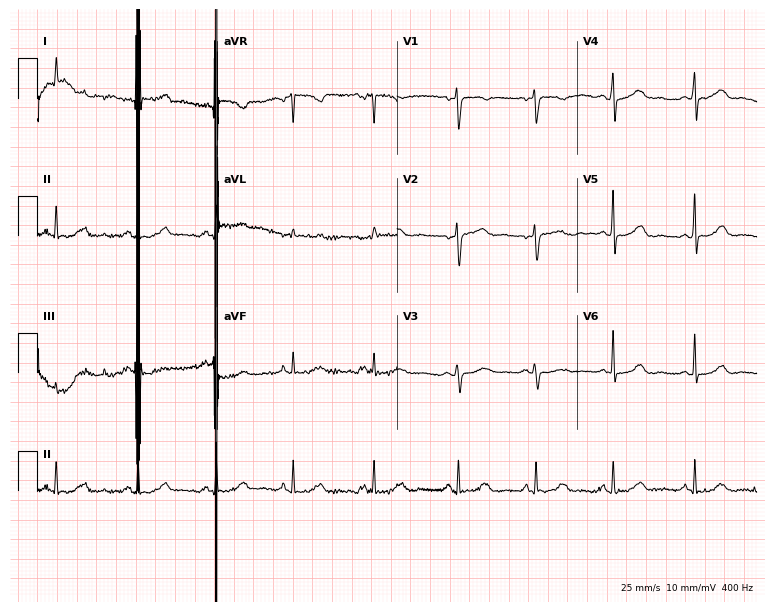
12-lead ECG from a 45-year-old woman. No first-degree AV block, right bundle branch block (RBBB), left bundle branch block (LBBB), sinus bradycardia, atrial fibrillation (AF) or sinus tachycardia recorded for this tracing.